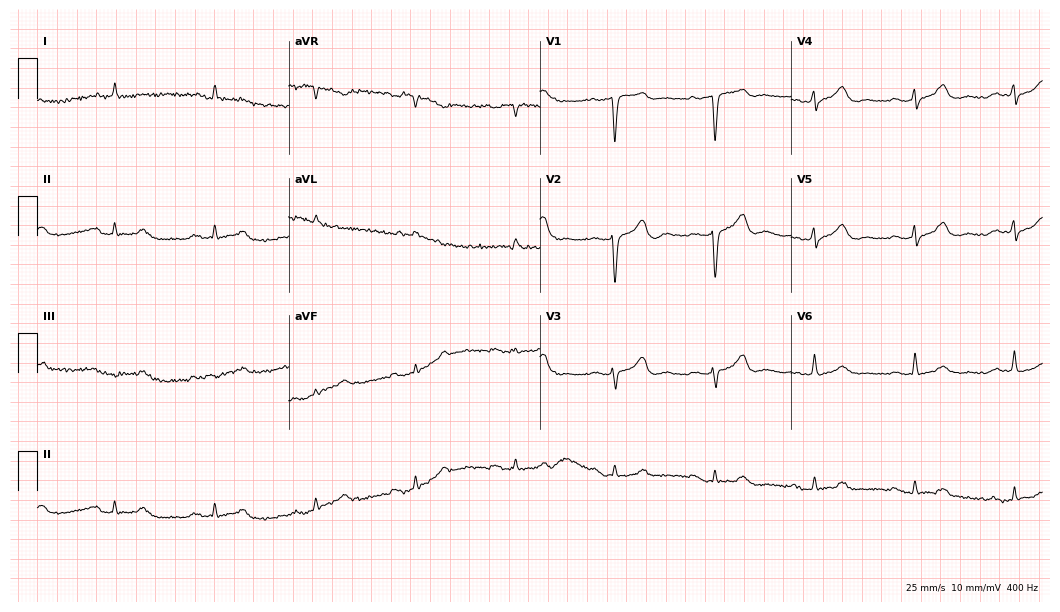
Standard 12-lead ECG recorded from a man, 71 years old. None of these six findings is recorded: first-degree AV block, right bundle branch block, left bundle branch block, sinus bradycardia, atrial fibrillation, sinus tachycardia. Other findings, if any, are not listed.